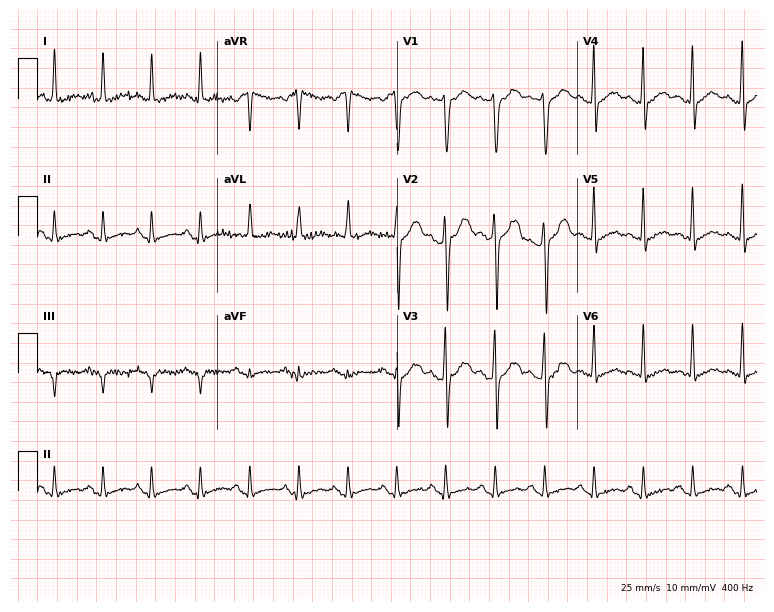
12-lead ECG from a male, 39 years old. No first-degree AV block, right bundle branch block (RBBB), left bundle branch block (LBBB), sinus bradycardia, atrial fibrillation (AF) or sinus tachycardia recorded for this tracing.